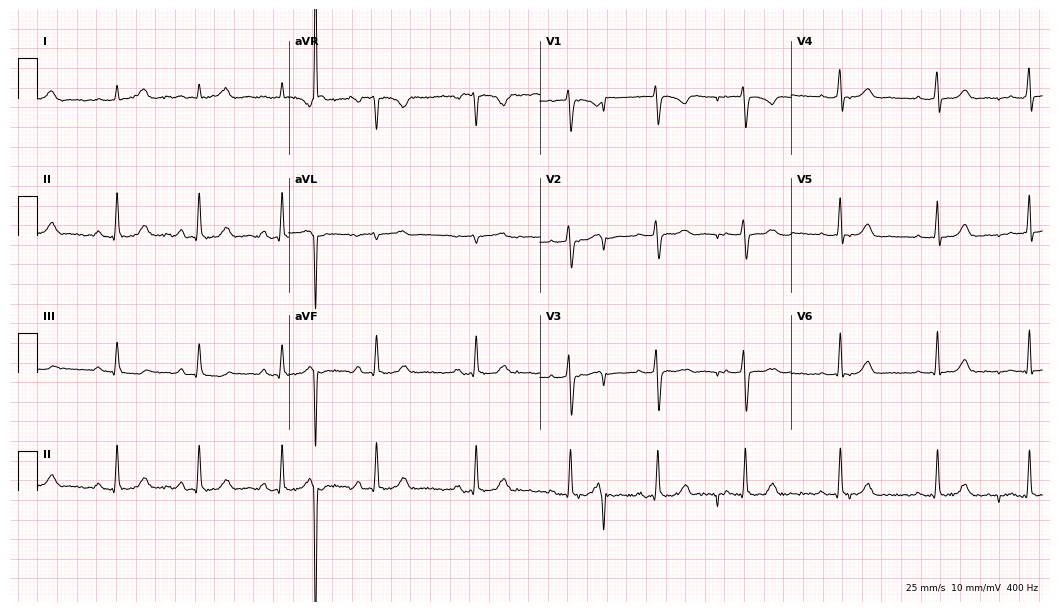
12-lead ECG from a female, 17 years old (10.2-second recording at 400 Hz). Recorded interpretation: within normal limits.